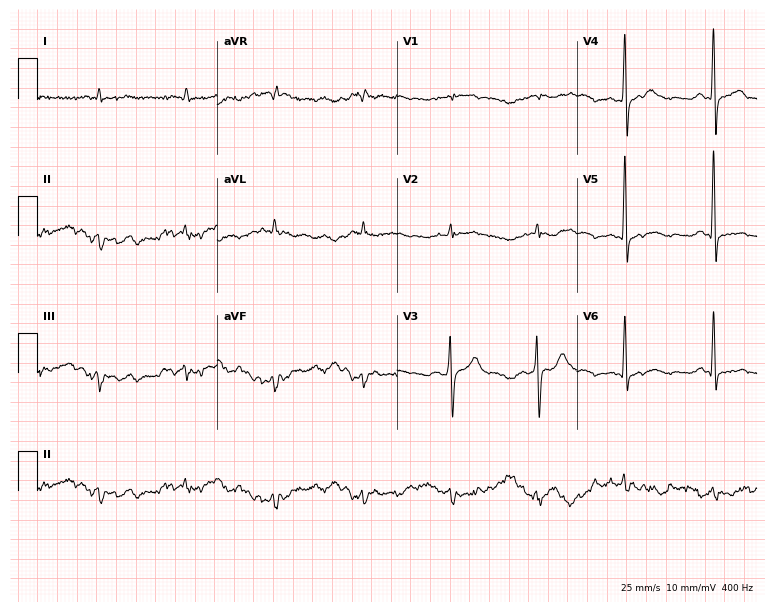
Standard 12-lead ECG recorded from a male, 84 years old. None of these six findings is recorded: first-degree AV block, right bundle branch block, left bundle branch block, sinus bradycardia, atrial fibrillation, sinus tachycardia.